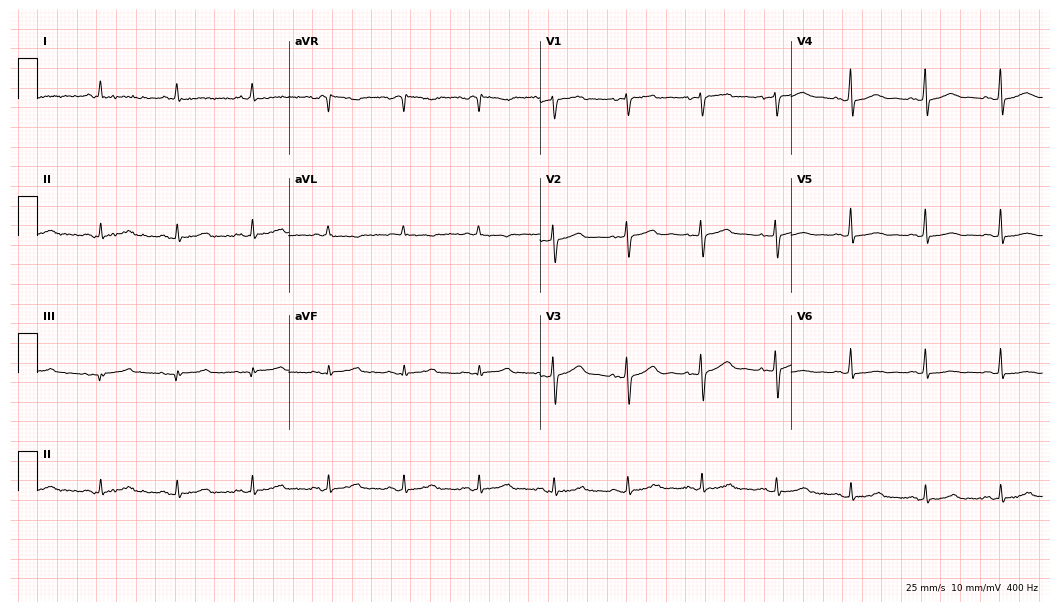
ECG (10.2-second recording at 400 Hz) — a 71-year-old female. Labelled as a normal ECG.